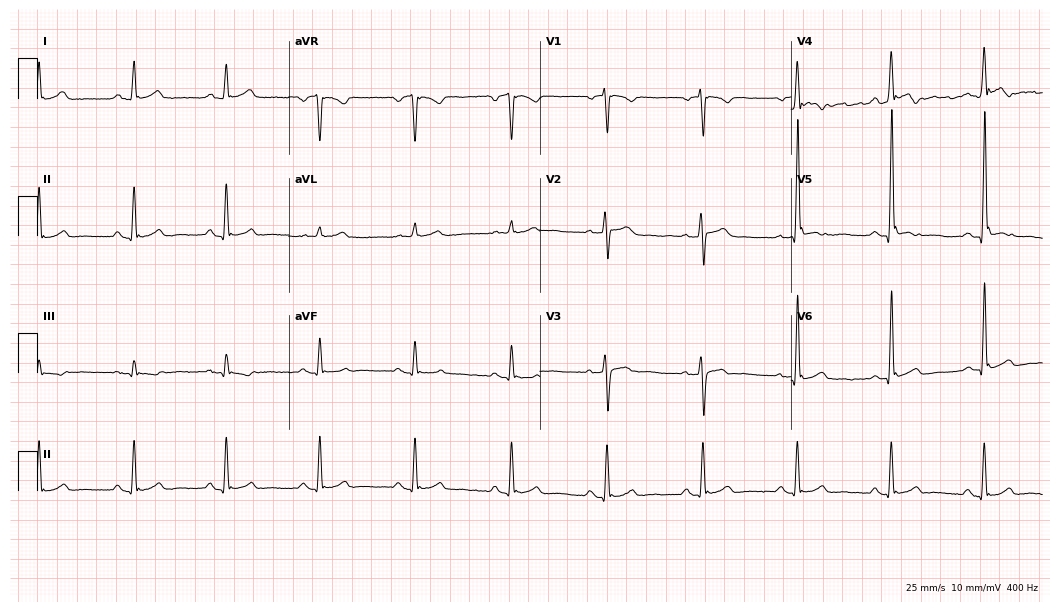
12-lead ECG from a 41-year-old male (10.2-second recording at 400 Hz). No first-degree AV block, right bundle branch block (RBBB), left bundle branch block (LBBB), sinus bradycardia, atrial fibrillation (AF) or sinus tachycardia recorded for this tracing. Findings outside these six are not listed.